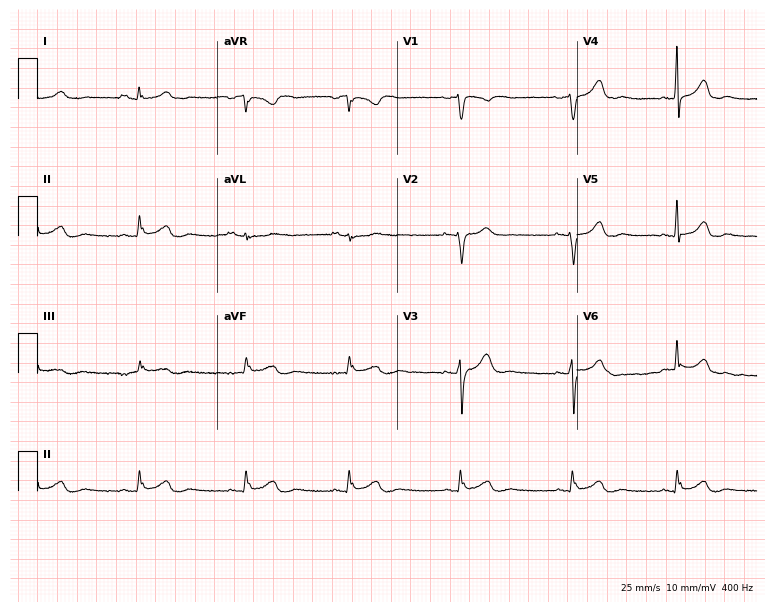
ECG — a woman, 24 years old. Screened for six findings — first-degree AV block, right bundle branch block (RBBB), left bundle branch block (LBBB), sinus bradycardia, atrial fibrillation (AF), sinus tachycardia — none is recorded.